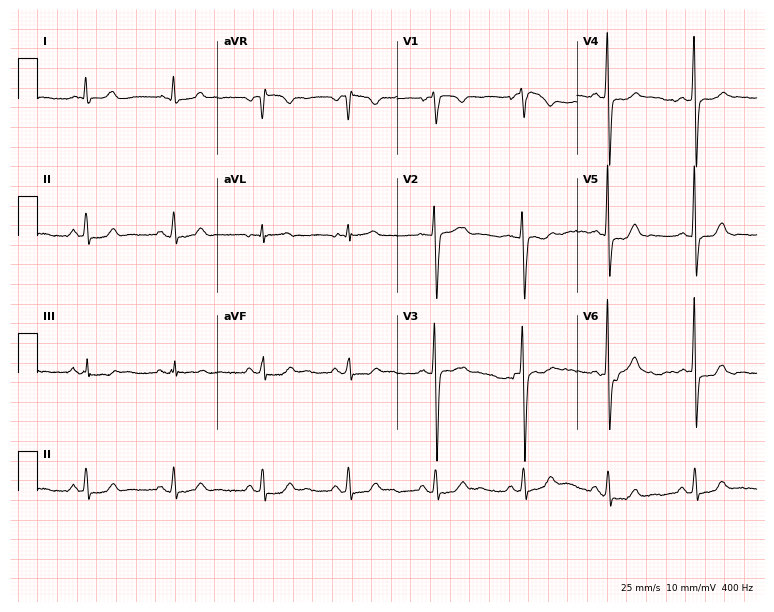
12-lead ECG from a 29-year-old female patient (7.3-second recording at 400 Hz). Recorded interpretation: within normal limits.